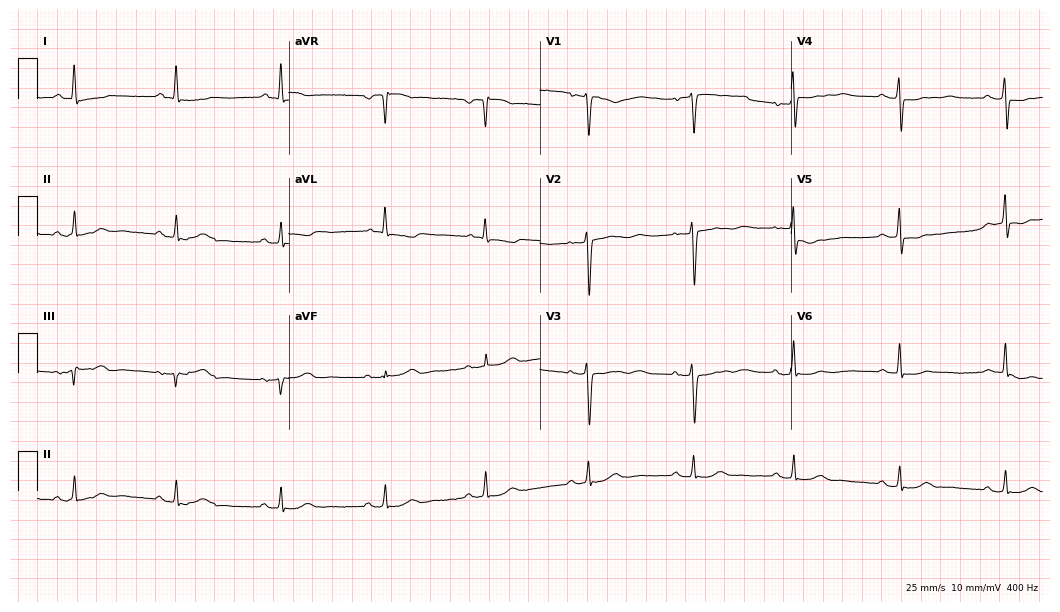
12-lead ECG (10.2-second recording at 400 Hz) from a woman, 69 years old. Screened for six findings — first-degree AV block, right bundle branch block, left bundle branch block, sinus bradycardia, atrial fibrillation, sinus tachycardia — none is recorded. Findings outside these six are not listed.